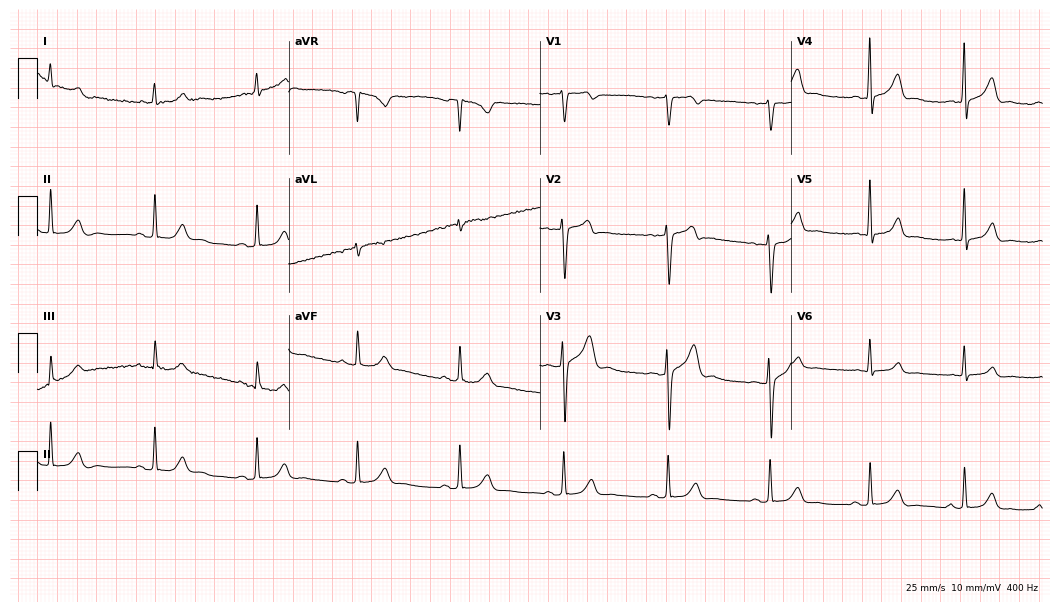
Standard 12-lead ECG recorded from a male, 37 years old. None of these six findings is recorded: first-degree AV block, right bundle branch block, left bundle branch block, sinus bradycardia, atrial fibrillation, sinus tachycardia.